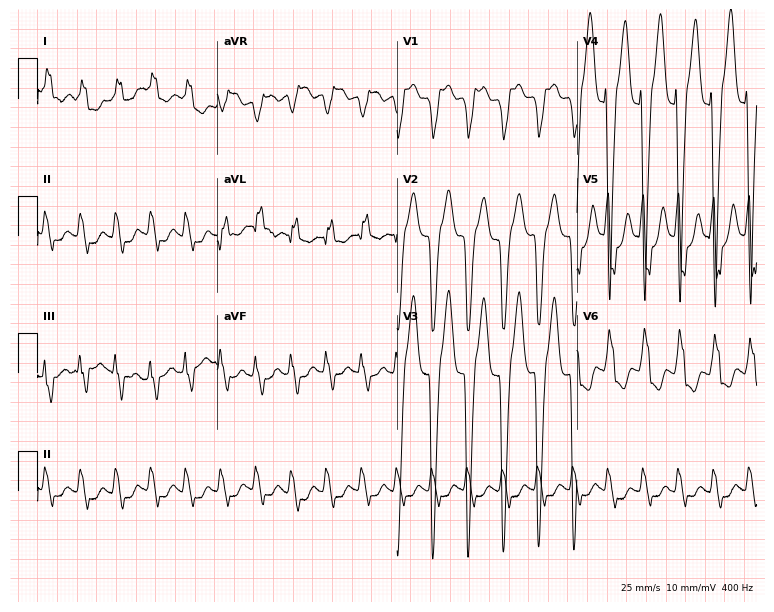
12-lead ECG from a woman, 81 years old. Screened for six findings — first-degree AV block, right bundle branch block, left bundle branch block, sinus bradycardia, atrial fibrillation, sinus tachycardia — none is recorded. Other findings, if any, are not listed.